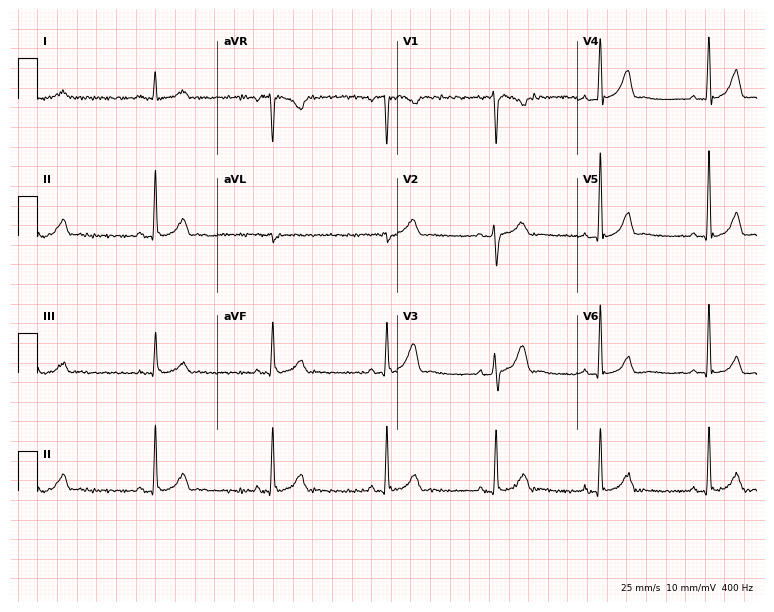
12-lead ECG from a man, 31 years old. Recorded interpretation: within normal limits.